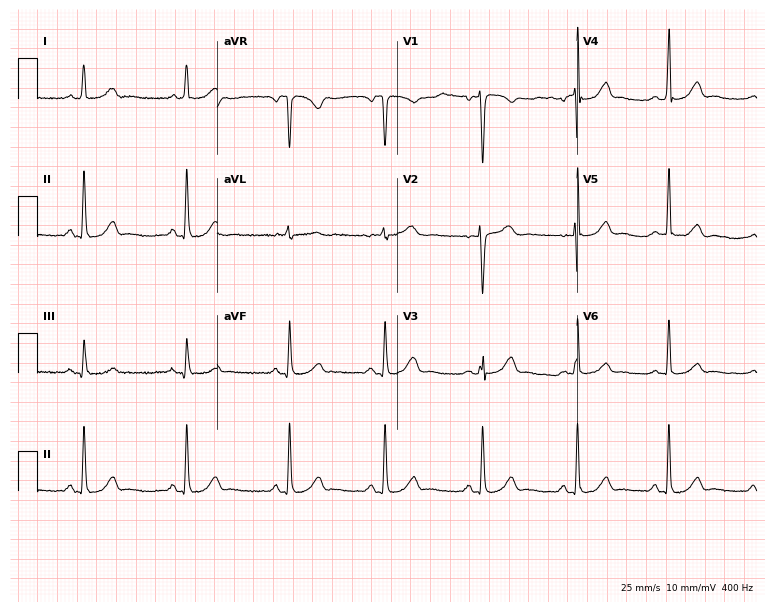
12-lead ECG from a female patient, 46 years old (7.3-second recording at 400 Hz). Recorded interpretation: within normal limits.